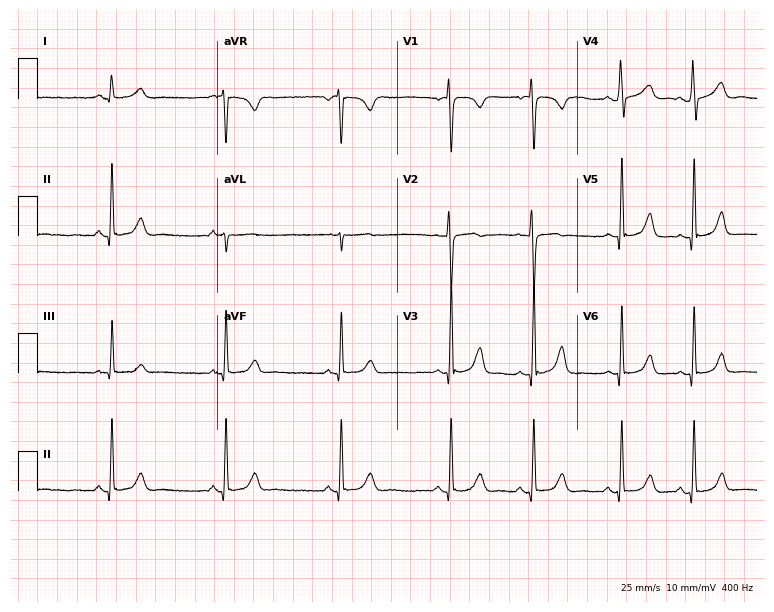
Electrocardiogram (7.3-second recording at 400 Hz), a 26-year-old female patient. Overall reading on record: normal ECG.